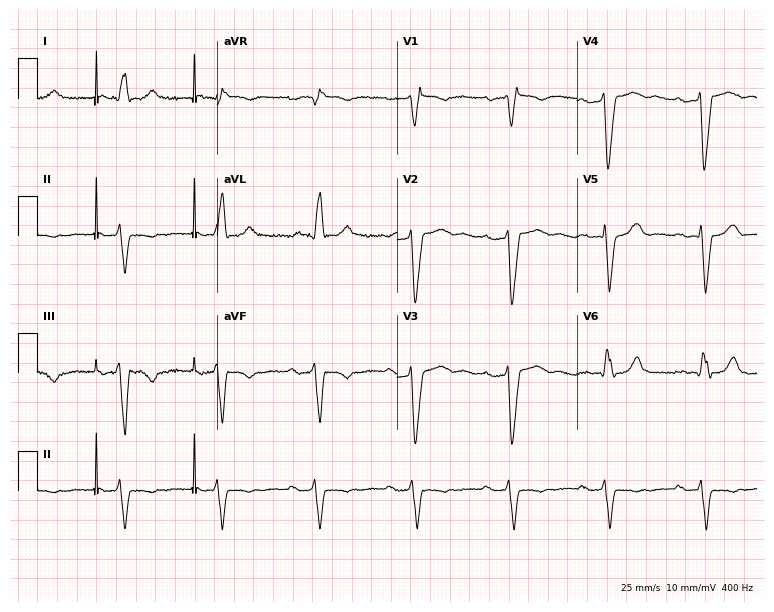
12-lead ECG from an 84-year-old male patient. Screened for six findings — first-degree AV block, right bundle branch block, left bundle branch block, sinus bradycardia, atrial fibrillation, sinus tachycardia — none is recorded. Other findings, if any, are not listed.